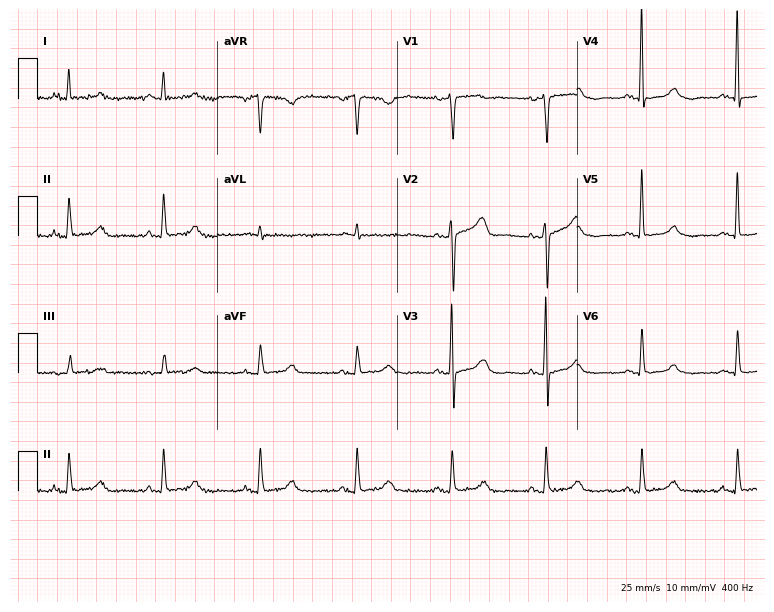
Electrocardiogram (7.3-second recording at 400 Hz), a female, 76 years old. Overall reading on record: normal ECG.